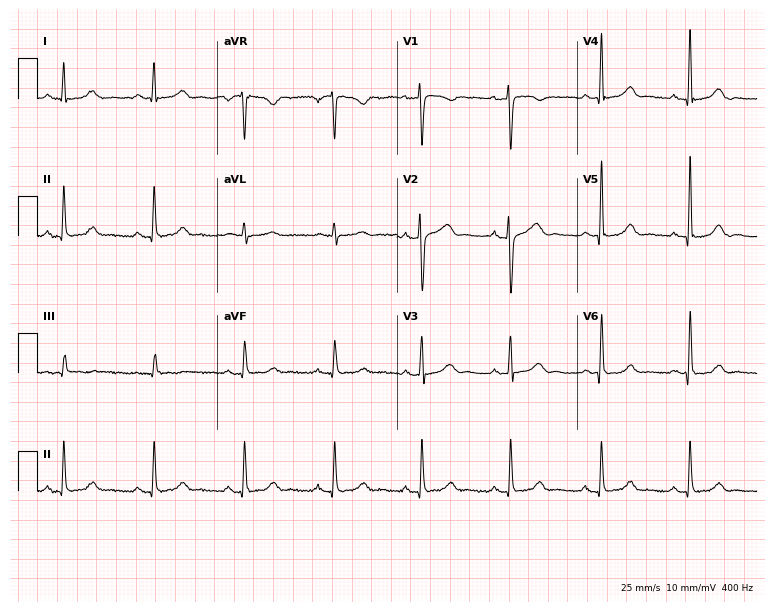
ECG — a 42-year-old woman. Screened for six findings — first-degree AV block, right bundle branch block, left bundle branch block, sinus bradycardia, atrial fibrillation, sinus tachycardia — none is recorded. Findings outside these six are not listed.